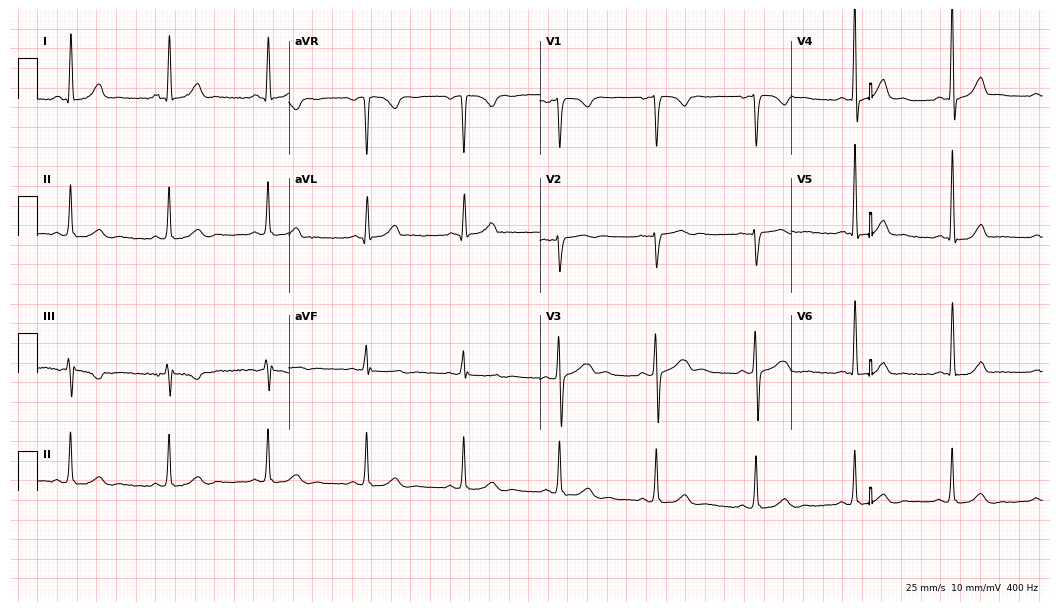
Electrocardiogram (10.2-second recording at 400 Hz), a male patient, 32 years old. Overall reading on record: normal ECG.